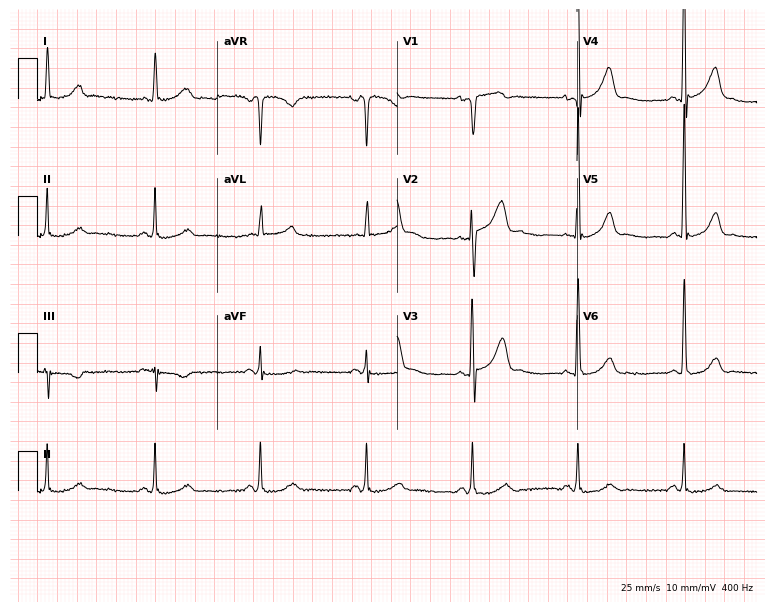
12-lead ECG from a 62-year-old male patient. Screened for six findings — first-degree AV block, right bundle branch block (RBBB), left bundle branch block (LBBB), sinus bradycardia, atrial fibrillation (AF), sinus tachycardia — none is recorded. Findings outside these six are not listed.